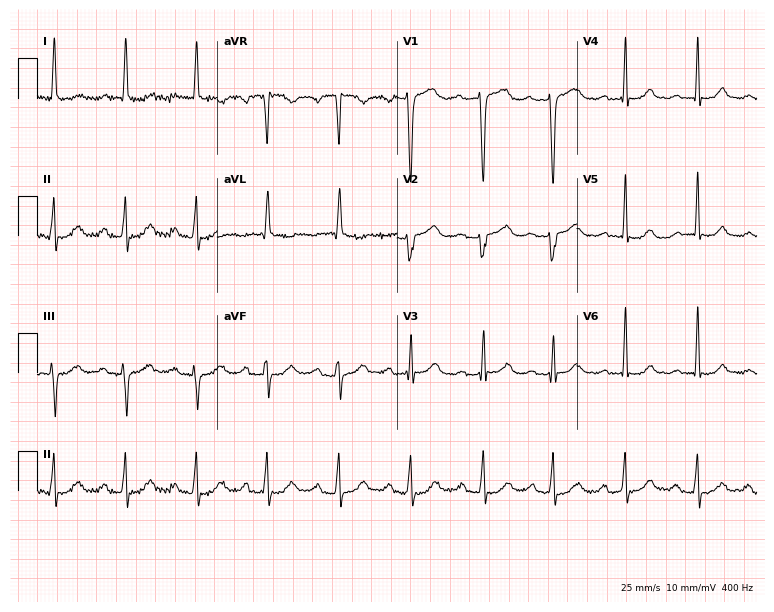
12-lead ECG from a woman, 79 years old. Screened for six findings — first-degree AV block, right bundle branch block, left bundle branch block, sinus bradycardia, atrial fibrillation, sinus tachycardia — none is recorded.